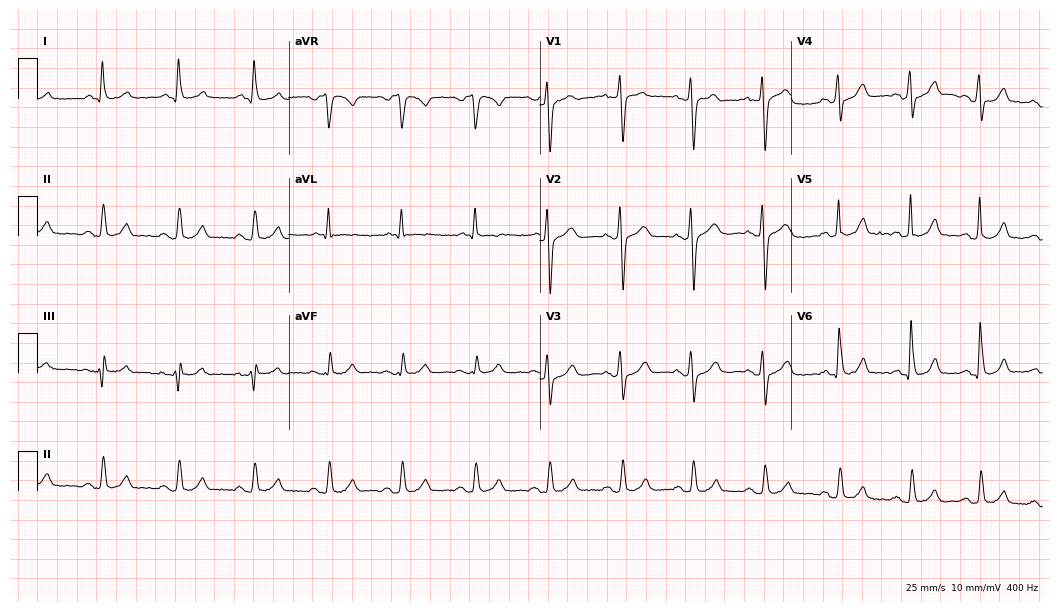
12-lead ECG from a man, 52 years old. Screened for six findings — first-degree AV block, right bundle branch block, left bundle branch block, sinus bradycardia, atrial fibrillation, sinus tachycardia — none is recorded. Other findings, if any, are not listed.